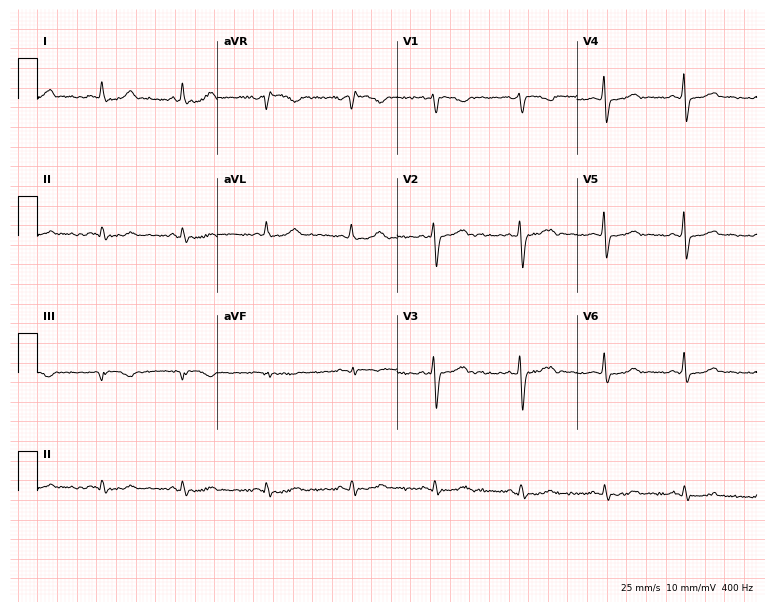
Electrocardiogram, a 39-year-old female. Of the six screened findings (first-degree AV block, right bundle branch block (RBBB), left bundle branch block (LBBB), sinus bradycardia, atrial fibrillation (AF), sinus tachycardia), none is recorded. Only these six findings were labelled.